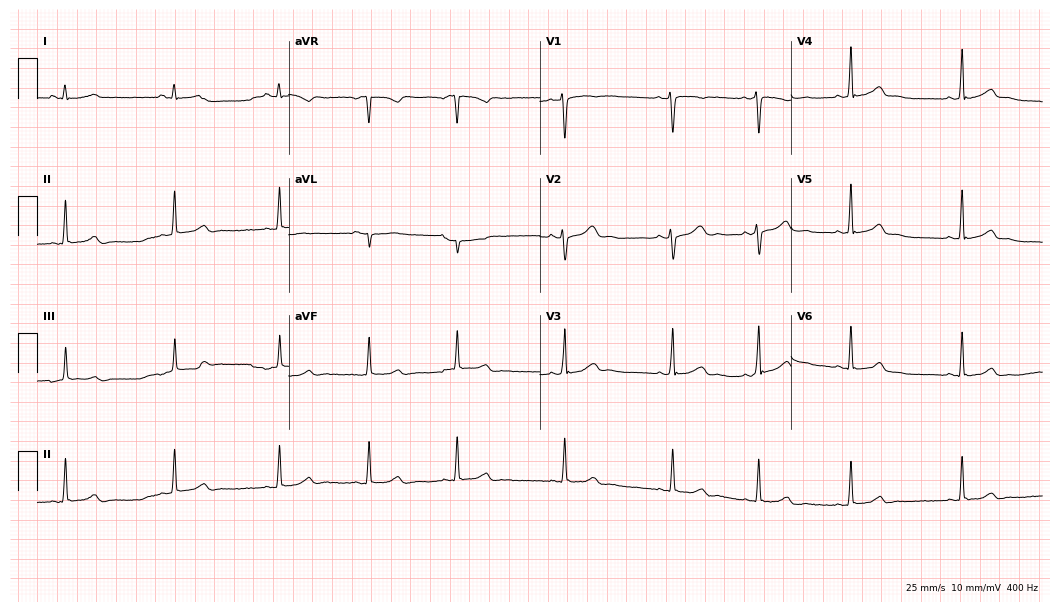
Resting 12-lead electrocardiogram. Patient: a female, 17 years old. None of these six findings is recorded: first-degree AV block, right bundle branch block, left bundle branch block, sinus bradycardia, atrial fibrillation, sinus tachycardia.